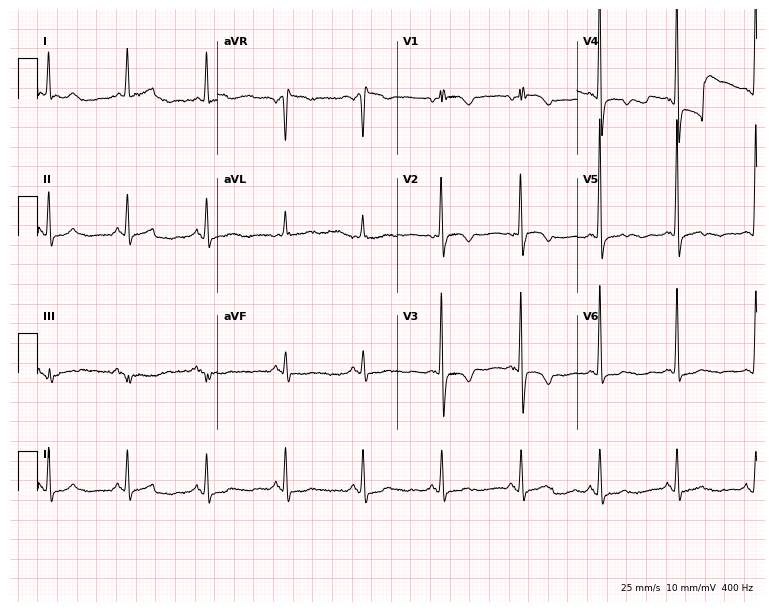
Electrocardiogram, a 74-year-old woman. Of the six screened findings (first-degree AV block, right bundle branch block, left bundle branch block, sinus bradycardia, atrial fibrillation, sinus tachycardia), none is recorded. Only these six findings were labelled.